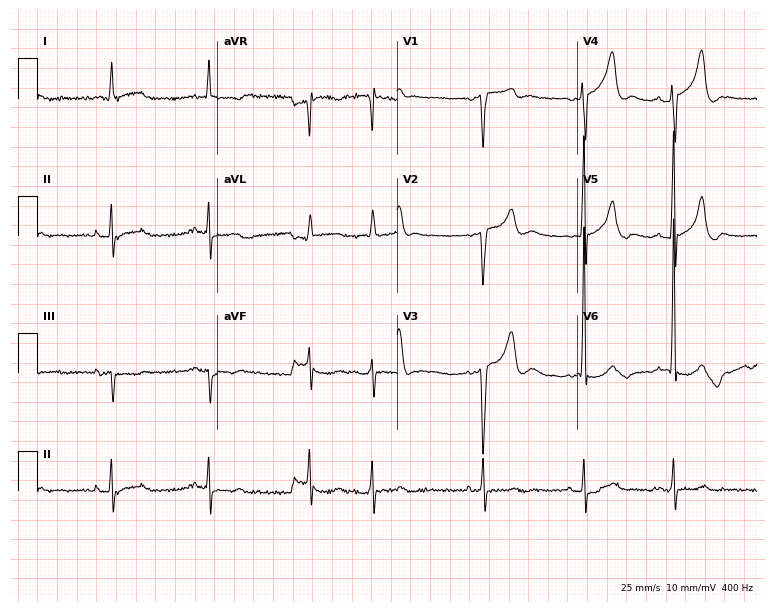
12-lead ECG from a male, 80 years old. Screened for six findings — first-degree AV block, right bundle branch block, left bundle branch block, sinus bradycardia, atrial fibrillation, sinus tachycardia — none is recorded. Findings outside these six are not listed.